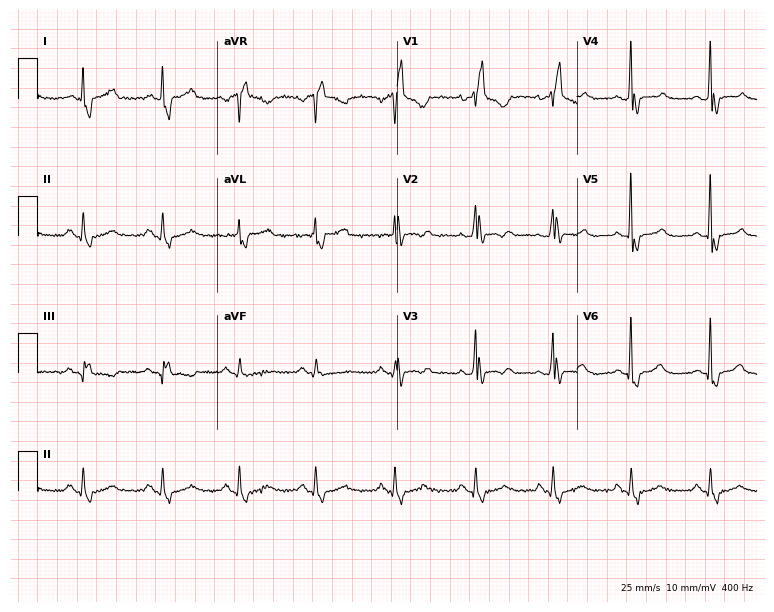
ECG — a woman, 53 years old. Findings include right bundle branch block (RBBB).